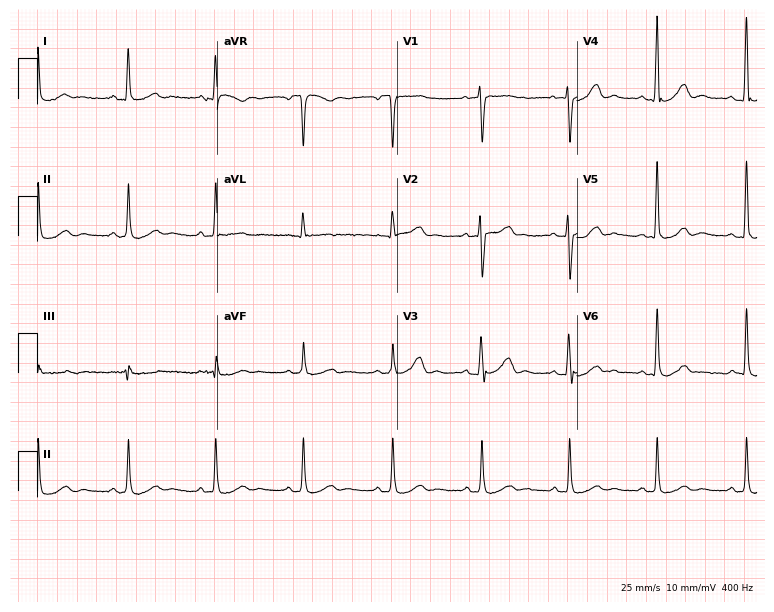
ECG — a woman, 48 years old. Labelled as a normal ECG.